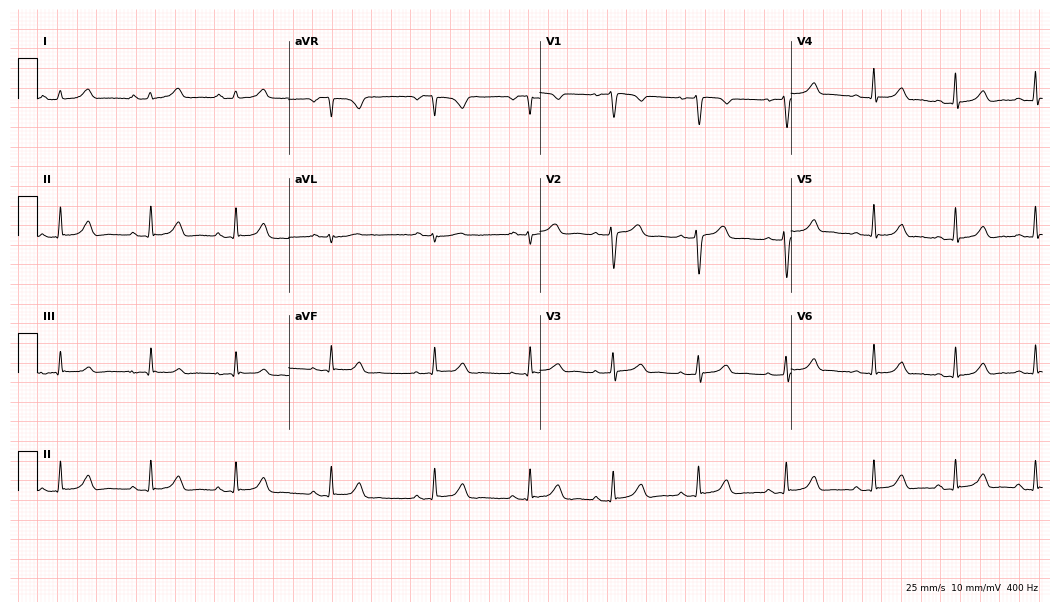
Resting 12-lead electrocardiogram (10.2-second recording at 400 Hz). Patient: a female, 27 years old. Read as a normal ECG.